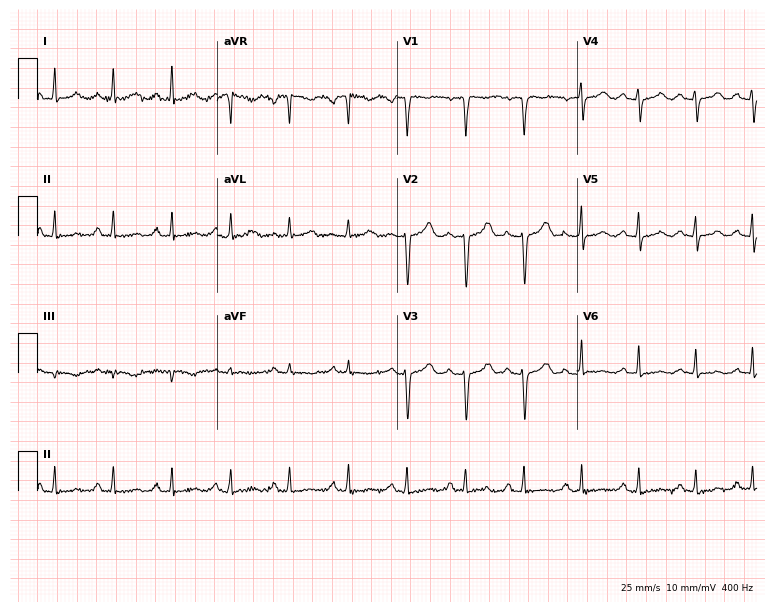
ECG (7.3-second recording at 400 Hz) — a 71-year-old female patient. Screened for six findings — first-degree AV block, right bundle branch block (RBBB), left bundle branch block (LBBB), sinus bradycardia, atrial fibrillation (AF), sinus tachycardia — none is recorded.